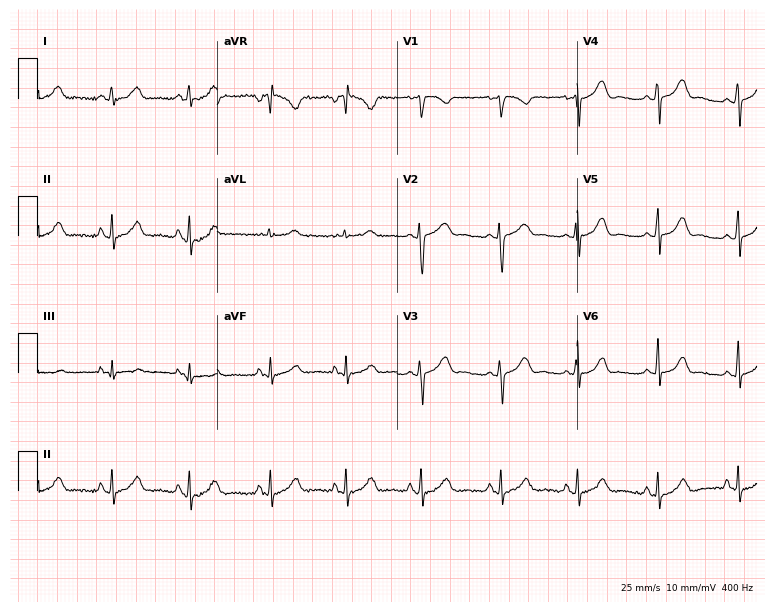
Standard 12-lead ECG recorded from a woman, 17 years old. Read as a normal ECG.